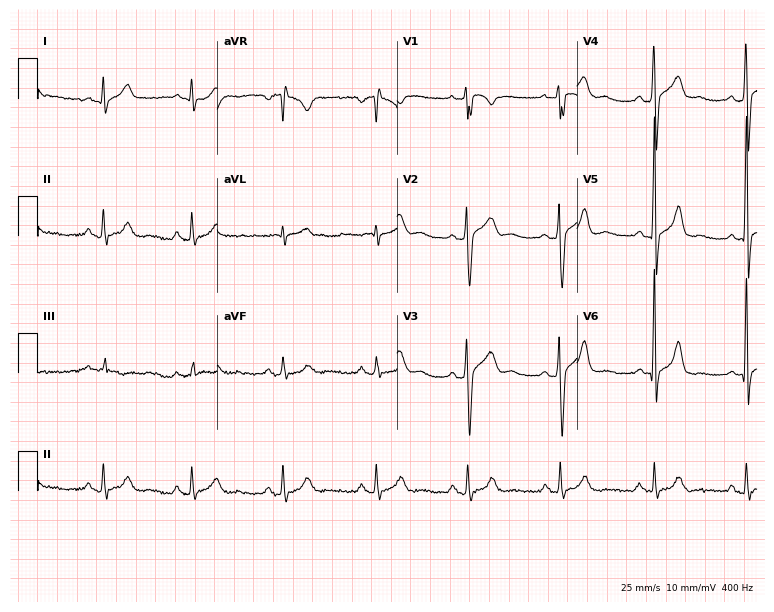
Electrocardiogram, a male, 39 years old. Of the six screened findings (first-degree AV block, right bundle branch block, left bundle branch block, sinus bradycardia, atrial fibrillation, sinus tachycardia), none is recorded.